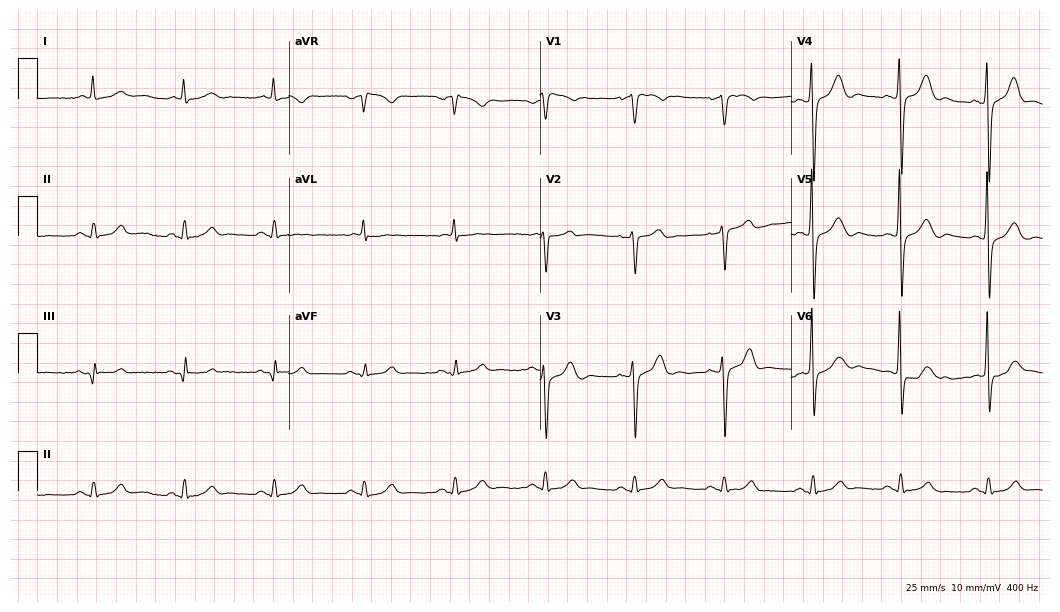
Resting 12-lead electrocardiogram (10.2-second recording at 400 Hz). Patient: a 74-year-old male. Read as a normal ECG.